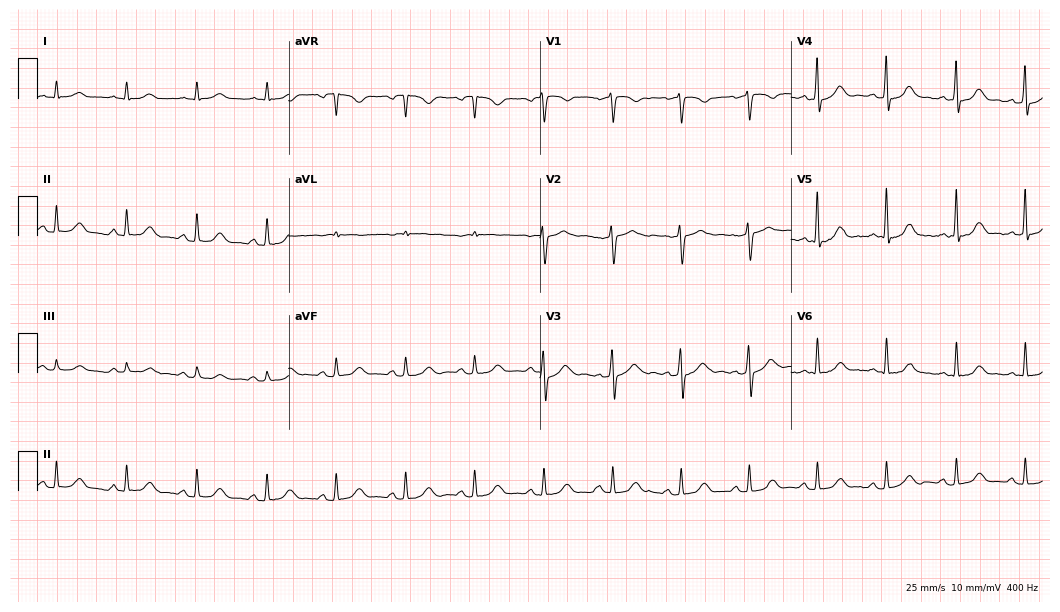
12-lead ECG from a female patient, 63 years old (10.2-second recording at 400 Hz). Recorded interpretation: within normal limits.